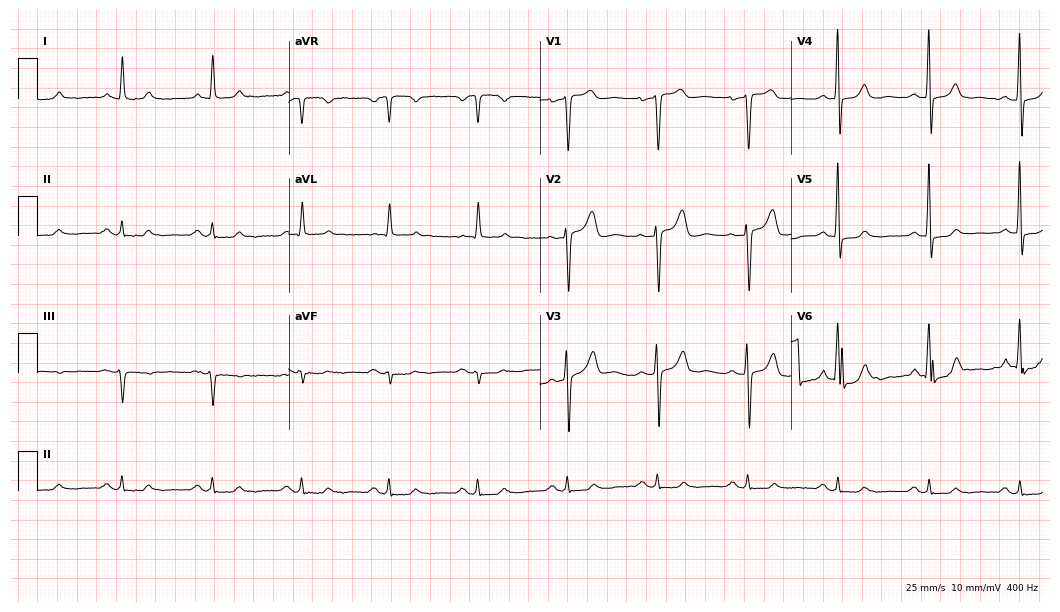
12-lead ECG from a man, 81 years old. Labelled as a normal ECG.